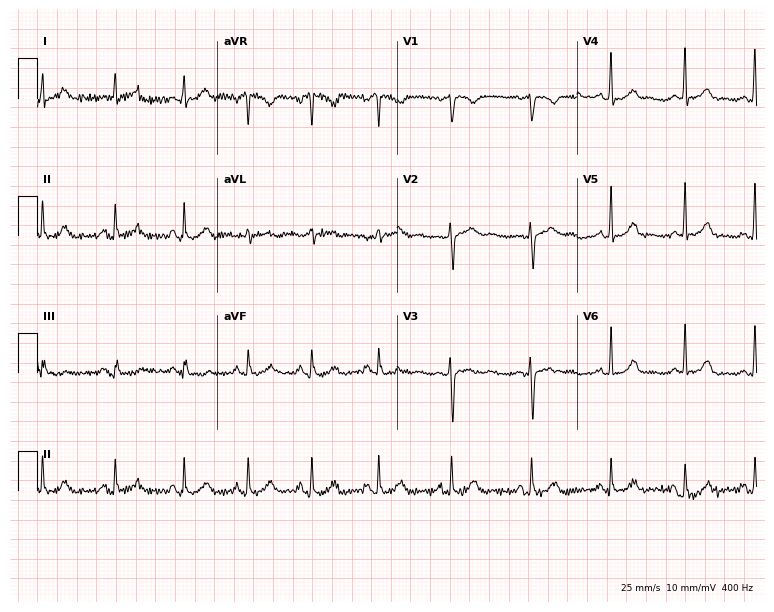
12-lead ECG from a woman, 20 years old (7.3-second recording at 400 Hz). Recorded interpretation: within normal limits.